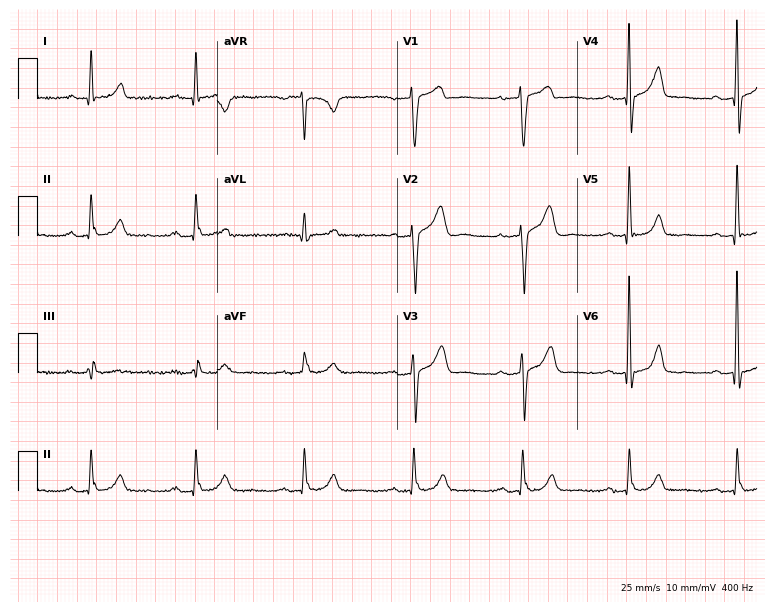
Electrocardiogram, a man, 73 years old. Of the six screened findings (first-degree AV block, right bundle branch block (RBBB), left bundle branch block (LBBB), sinus bradycardia, atrial fibrillation (AF), sinus tachycardia), none is recorded.